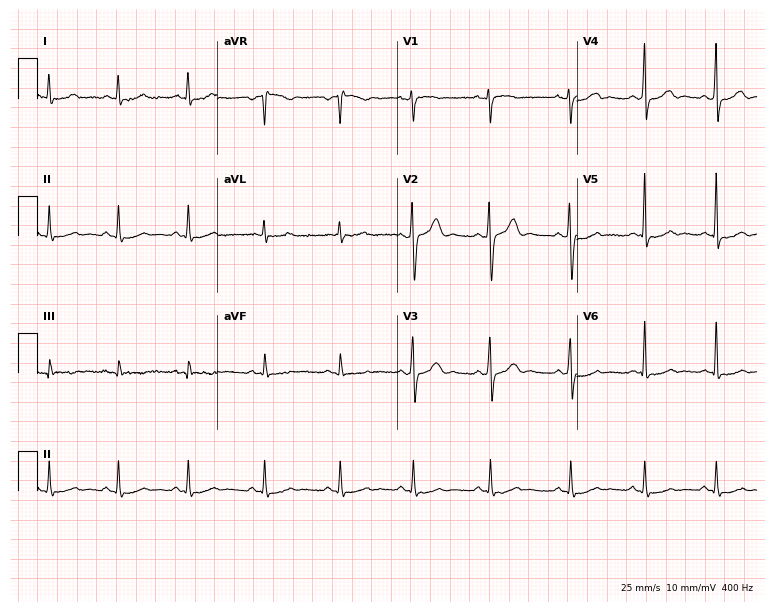
ECG — a man, 41 years old. Labelled as a normal ECG.